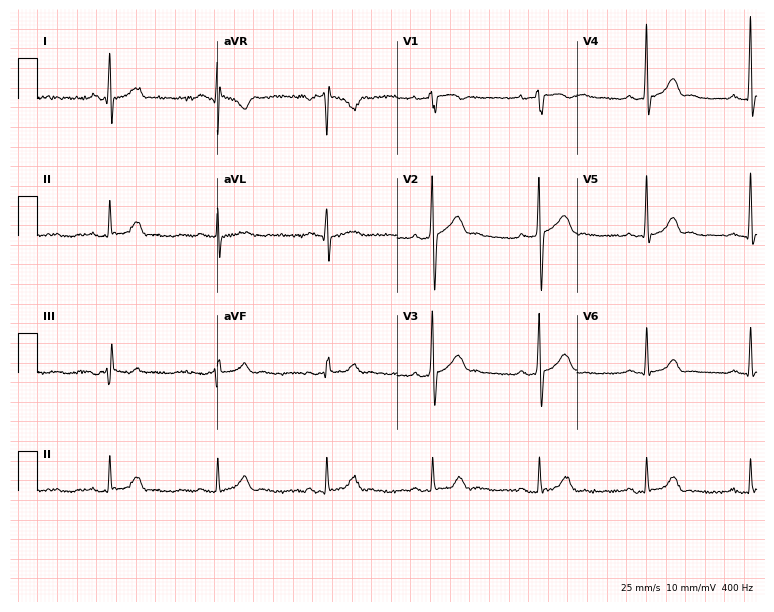
Electrocardiogram (7.3-second recording at 400 Hz), a male, 49 years old. Overall reading on record: normal ECG.